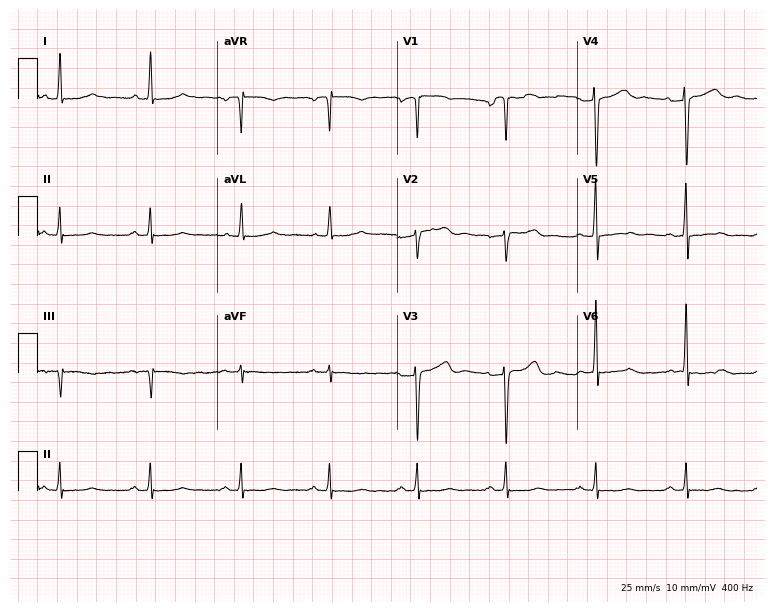
Electrocardiogram (7.3-second recording at 400 Hz), a female, 46 years old. Of the six screened findings (first-degree AV block, right bundle branch block, left bundle branch block, sinus bradycardia, atrial fibrillation, sinus tachycardia), none is recorded. Other findings, if any, are not listed.